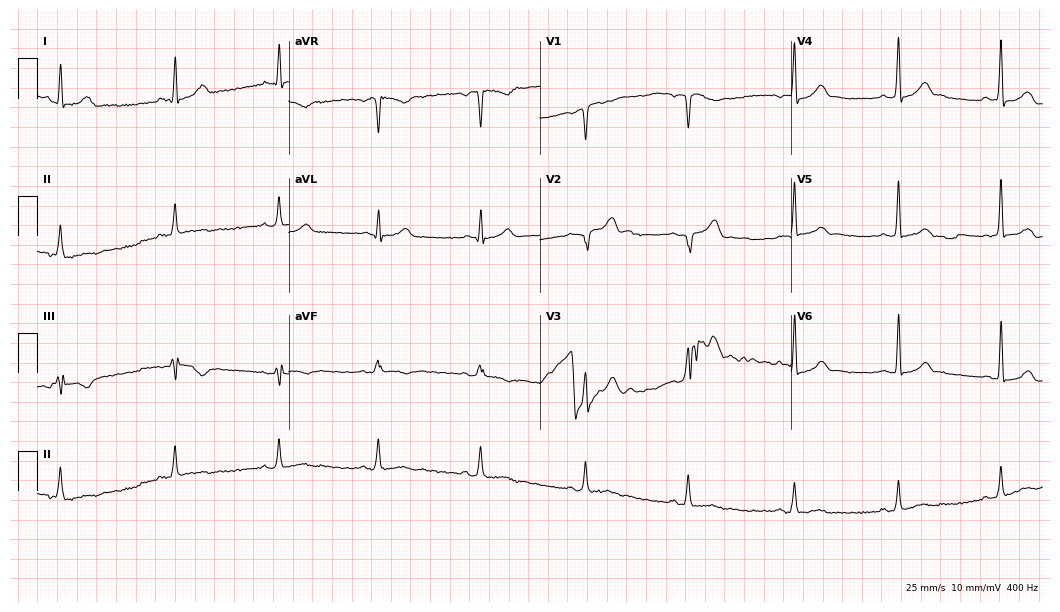
Resting 12-lead electrocardiogram. Patient: a male, 33 years old. None of these six findings is recorded: first-degree AV block, right bundle branch block, left bundle branch block, sinus bradycardia, atrial fibrillation, sinus tachycardia.